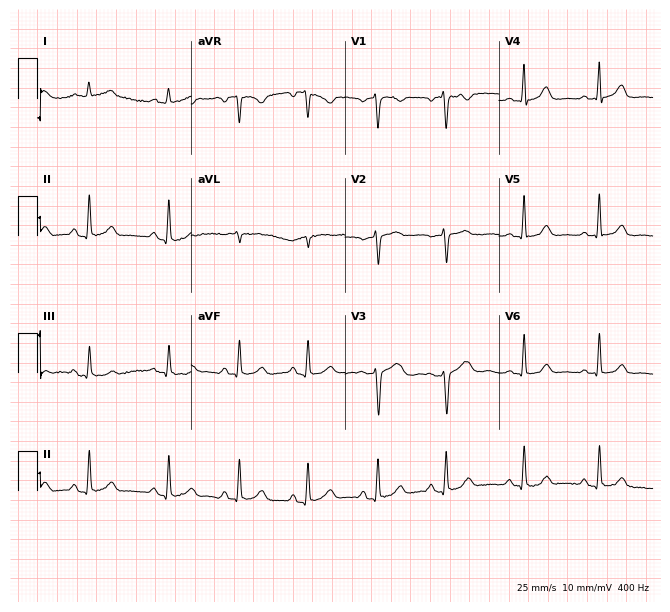
12-lead ECG from a 47-year-old female patient. Screened for six findings — first-degree AV block, right bundle branch block, left bundle branch block, sinus bradycardia, atrial fibrillation, sinus tachycardia — none is recorded. Other findings, if any, are not listed.